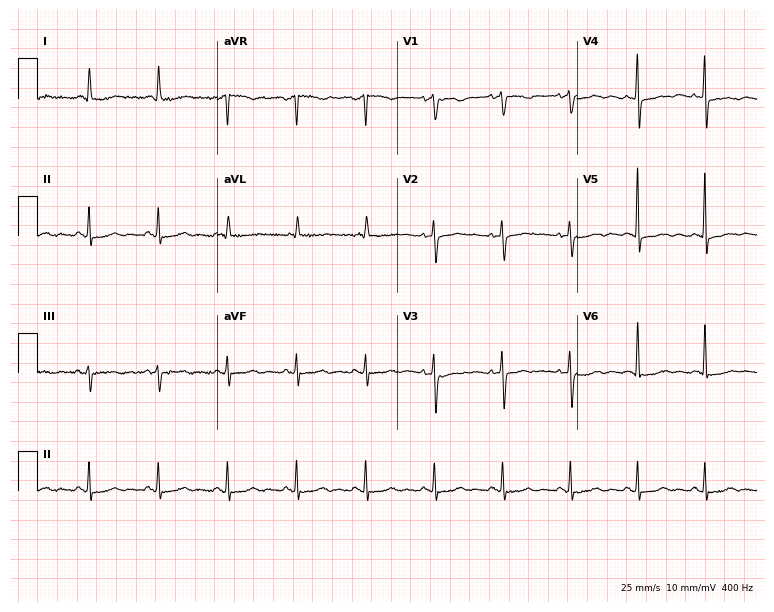
Electrocardiogram, a female, 74 years old. Of the six screened findings (first-degree AV block, right bundle branch block, left bundle branch block, sinus bradycardia, atrial fibrillation, sinus tachycardia), none is recorded. Other findings, if any, are not listed.